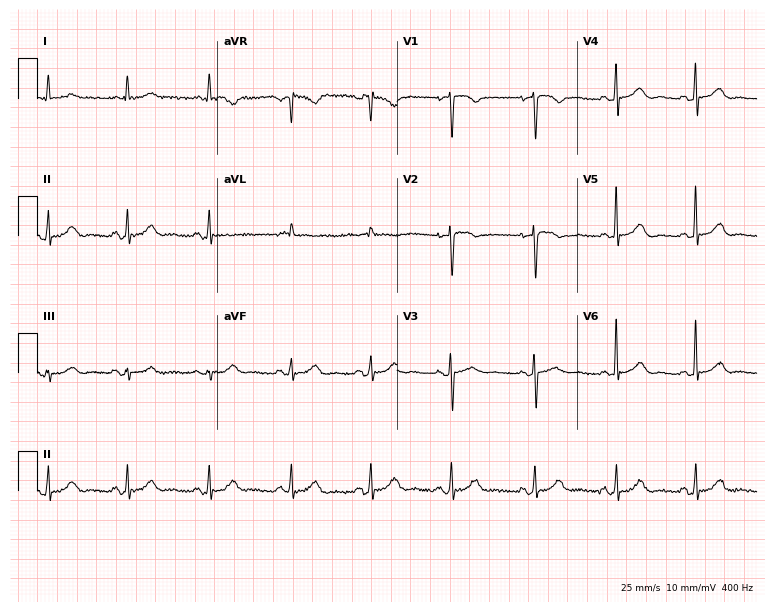
12-lead ECG from a woman, 83 years old (7.3-second recording at 400 Hz). Recorded interpretation: within normal limits.